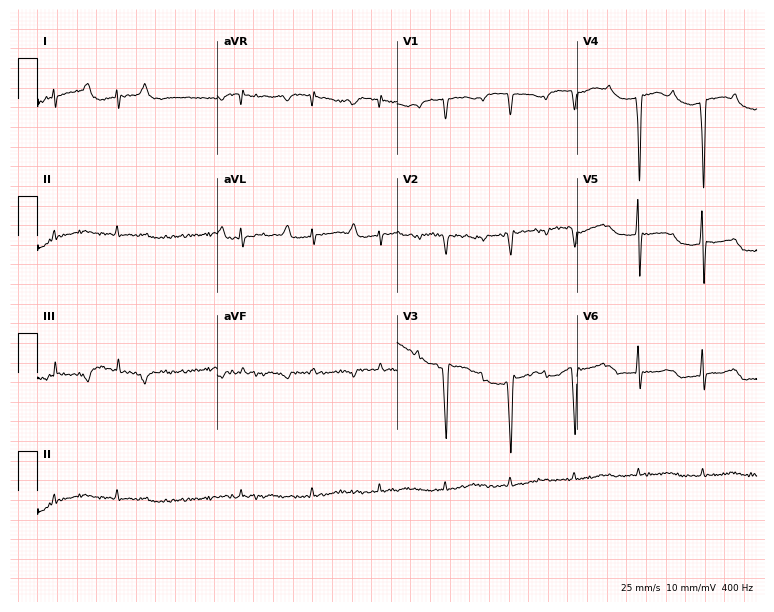
12-lead ECG from a female patient, 84 years old. No first-degree AV block, right bundle branch block (RBBB), left bundle branch block (LBBB), sinus bradycardia, atrial fibrillation (AF) or sinus tachycardia recorded for this tracing. Only these six findings were labelled.